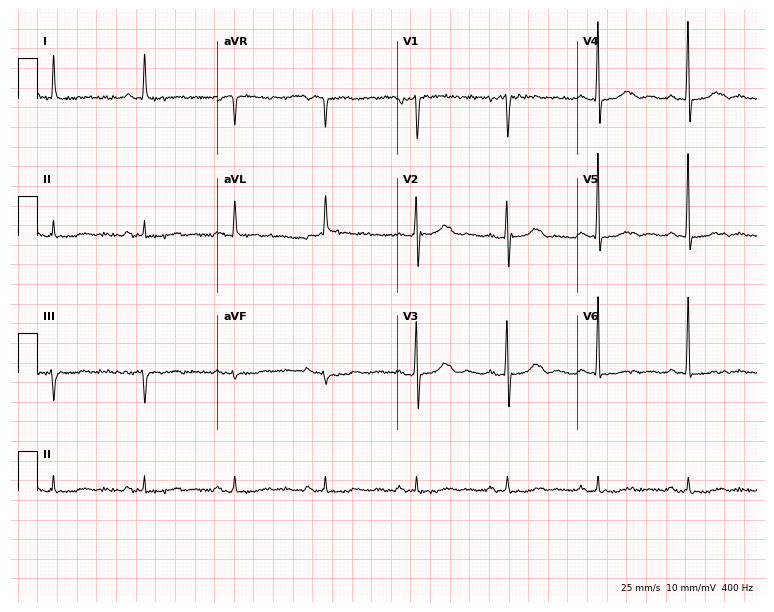
Resting 12-lead electrocardiogram. Patient: a female, 76 years old. None of these six findings is recorded: first-degree AV block, right bundle branch block, left bundle branch block, sinus bradycardia, atrial fibrillation, sinus tachycardia. Other findings, if any, are not listed.